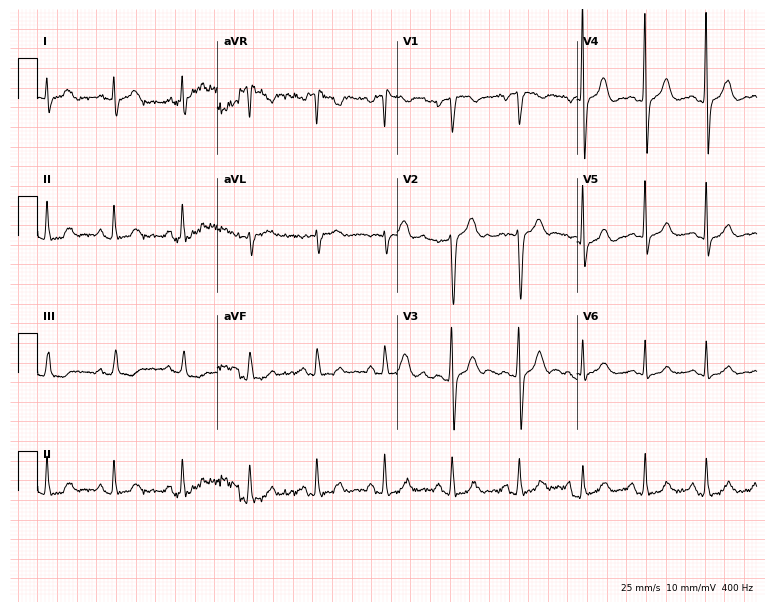
ECG (7.3-second recording at 400 Hz) — a 32-year-old man. Screened for six findings — first-degree AV block, right bundle branch block, left bundle branch block, sinus bradycardia, atrial fibrillation, sinus tachycardia — none is recorded. Other findings, if any, are not listed.